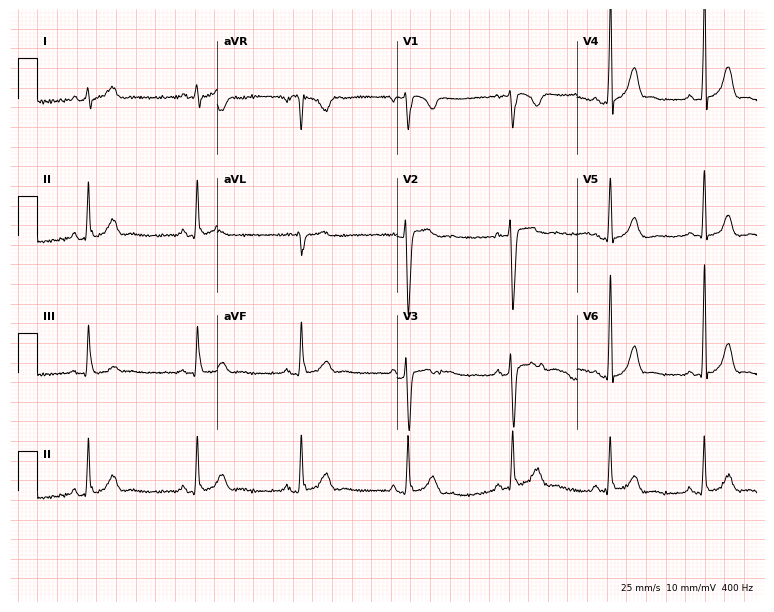
Resting 12-lead electrocardiogram (7.3-second recording at 400 Hz). Patient: a male, 28 years old. None of these six findings is recorded: first-degree AV block, right bundle branch block, left bundle branch block, sinus bradycardia, atrial fibrillation, sinus tachycardia.